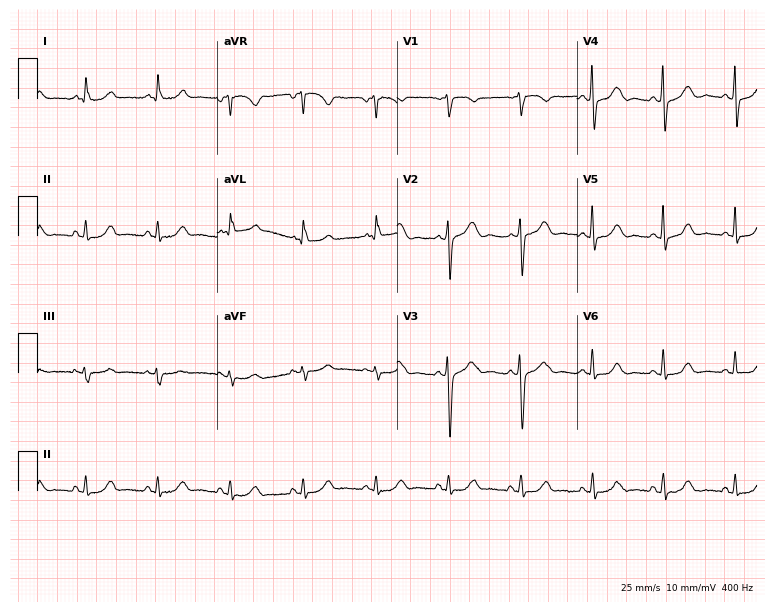
Standard 12-lead ECG recorded from a 66-year-old female patient. Read as a normal ECG.